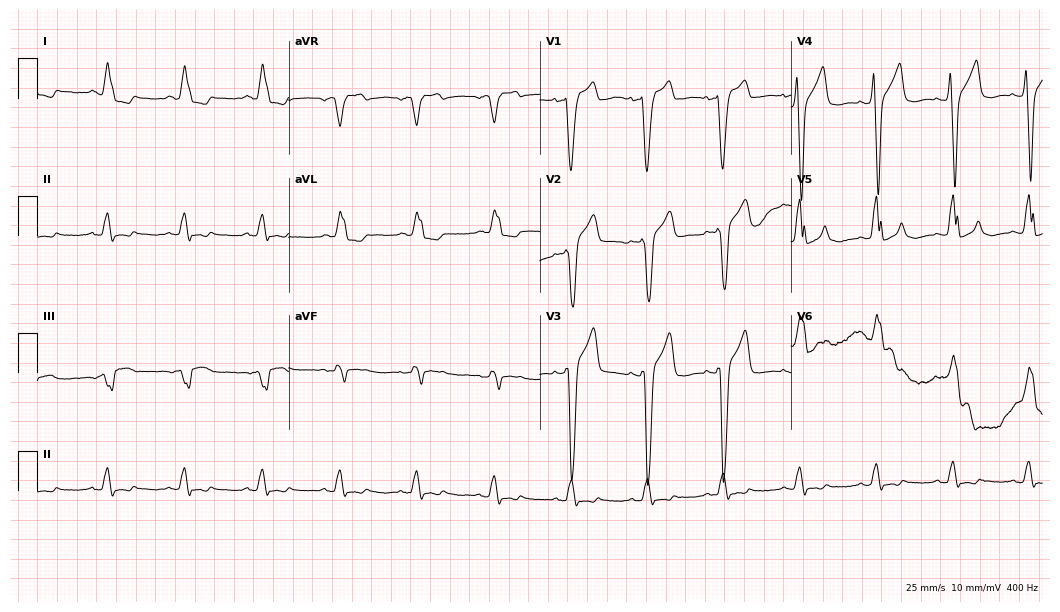
12-lead ECG from a 78-year-old woman. Shows left bundle branch block (LBBB).